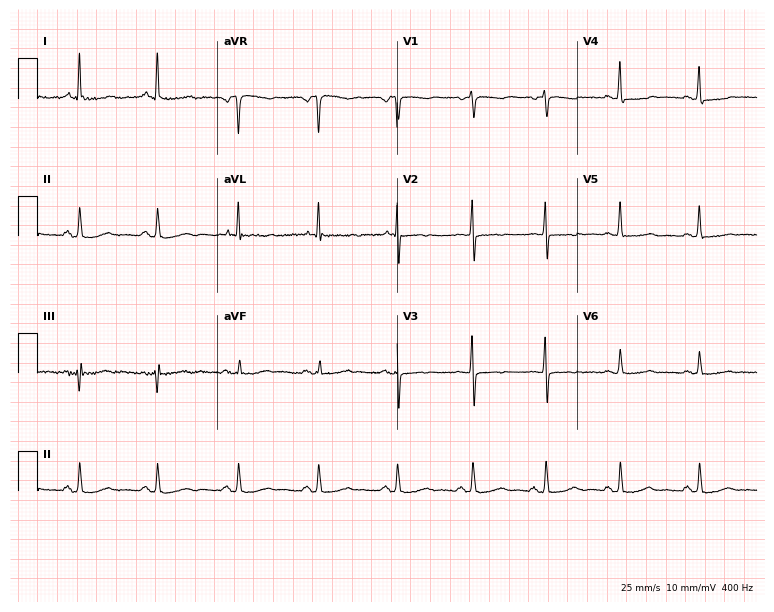
12-lead ECG from a 61-year-old female (7.3-second recording at 400 Hz). No first-degree AV block, right bundle branch block (RBBB), left bundle branch block (LBBB), sinus bradycardia, atrial fibrillation (AF) or sinus tachycardia recorded for this tracing.